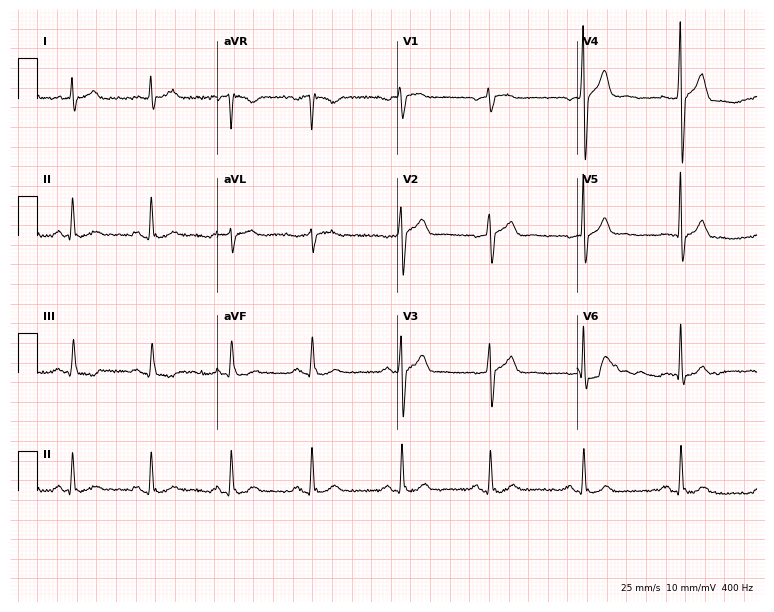
Resting 12-lead electrocardiogram (7.3-second recording at 400 Hz). Patient: a man, 53 years old. Read as a normal ECG.